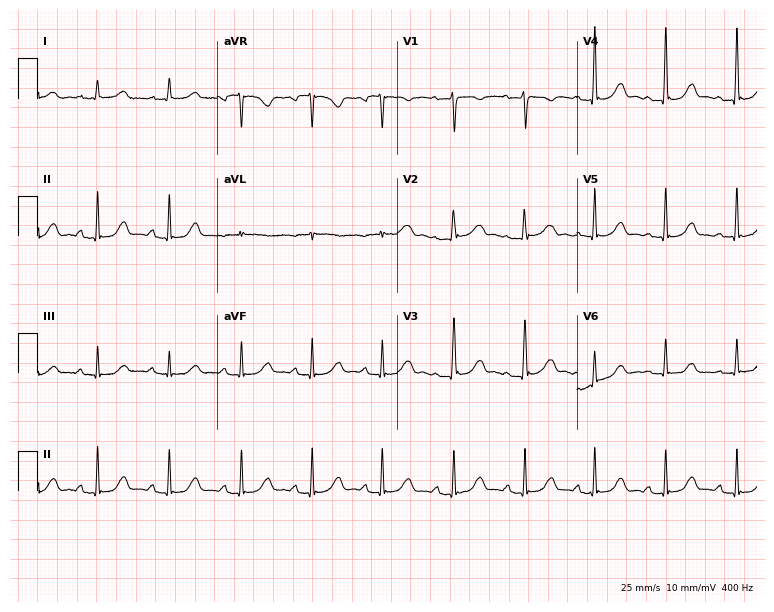
12-lead ECG from a 62-year-old woman (7.3-second recording at 400 Hz). Recorded interpretation: within normal limits.